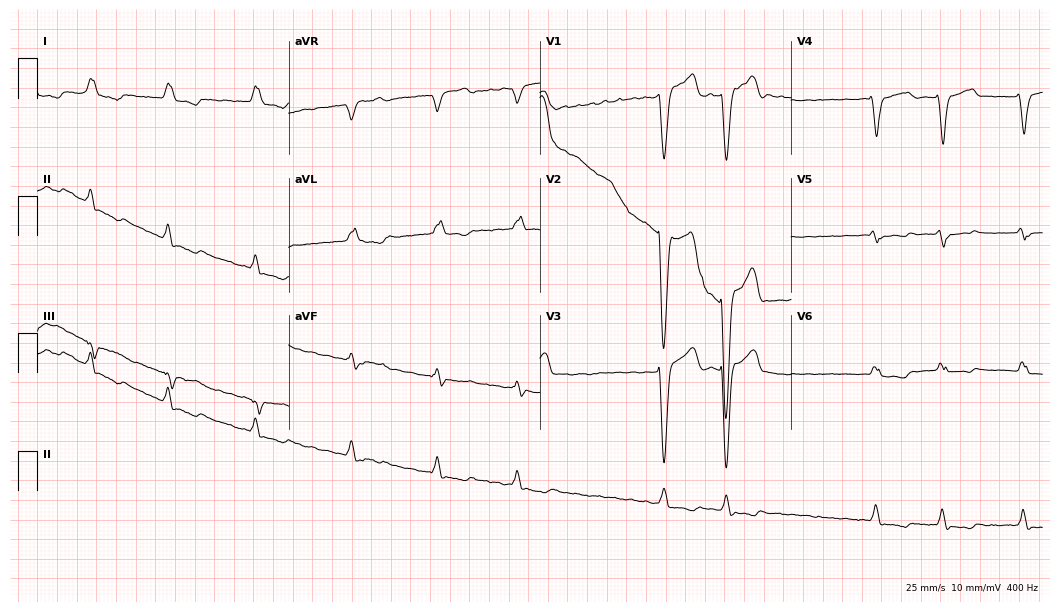
Resting 12-lead electrocardiogram (10.2-second recording at 400 Hz). Patient: a 72-year-old male. The tracing shows left bundle branch block, atrial fibrillation.